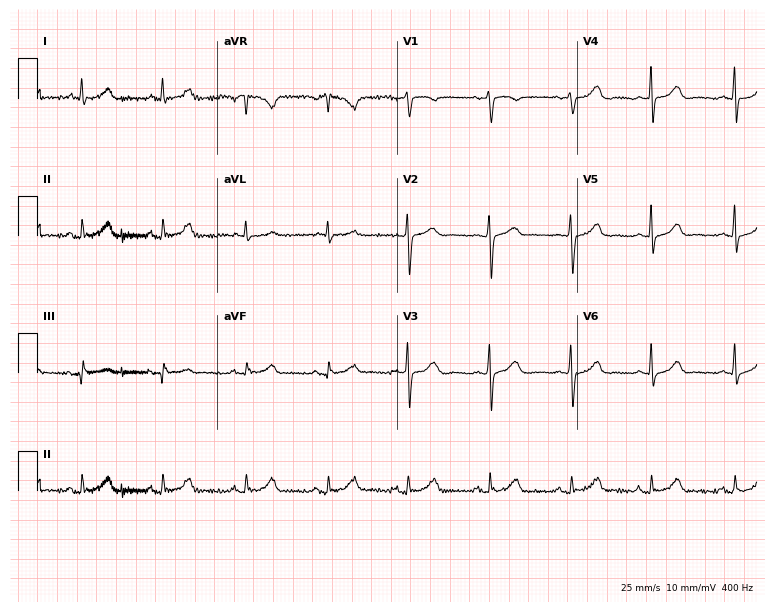
ECG — a woman, 56 years old. Screened for six findings — first-degree AV block, right bundle branch block, left bundle branch block, sinus bradycardia, atrial fibrillation, sinus tachycardia — none is recorded. Other findings, if any, are not listed.